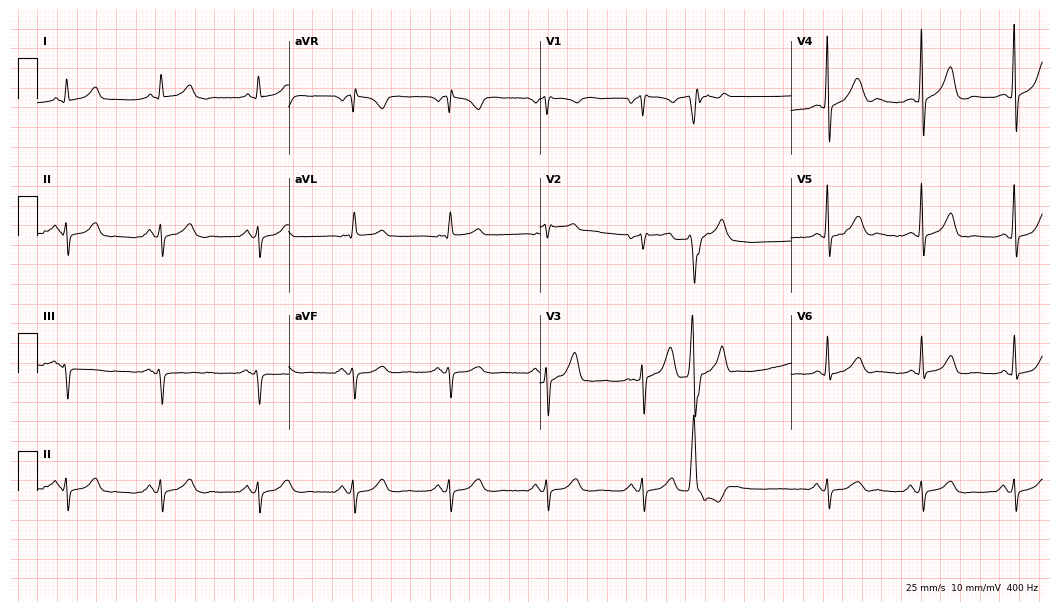
Resting 12-lead electrocardiogram. Patient: a male, 63 years old. None of these six findings is recorded: first-degree AV block, right bundle branch block, left bundle branch block, sinus bradycardia, atrial fibrillation, sinus tachycardia.